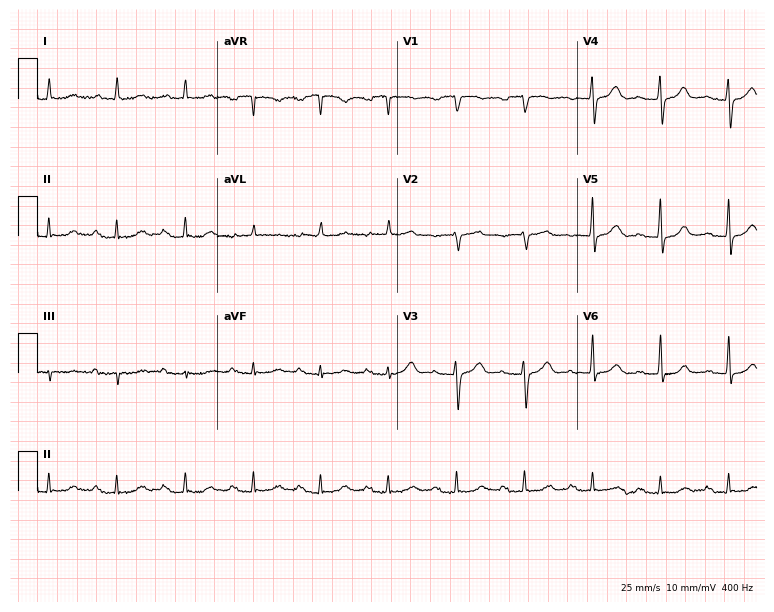
ECG — a man, 82 years old. Findings include first-degree AV block.